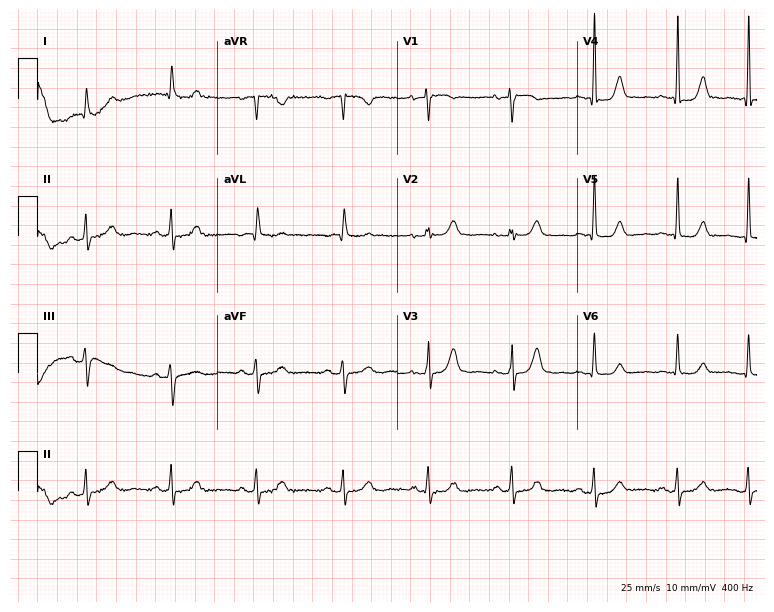
12-lead ECG from a female, 75 years old. Recorded interpretation: within normal limits.